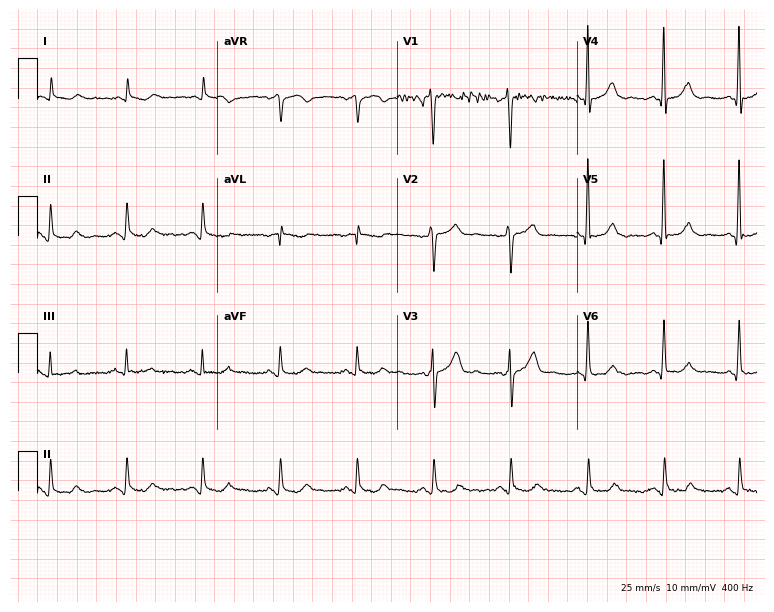
12-lead ECG from a 49-year-old male. Labelled as a normal ECG.